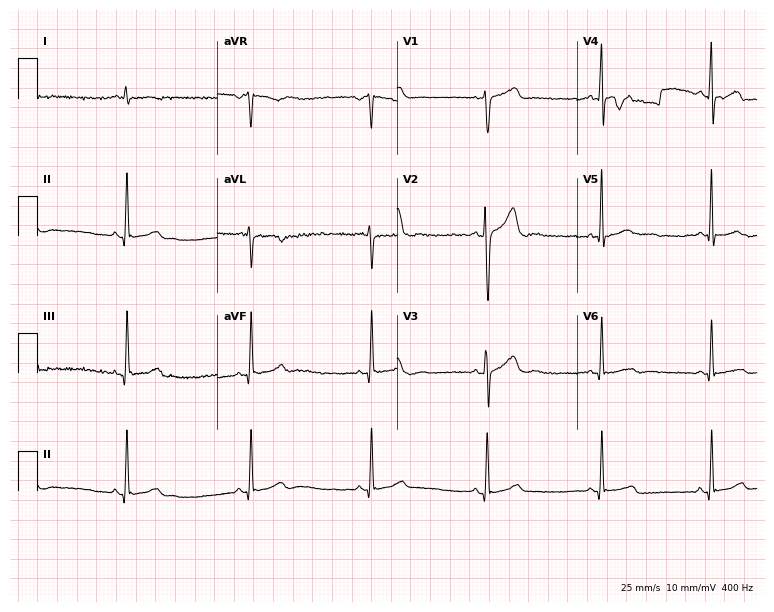
ECG (7.3-second recording at 400 Hz) — a male patient, 25 years old. Labelled as a normal ECG.